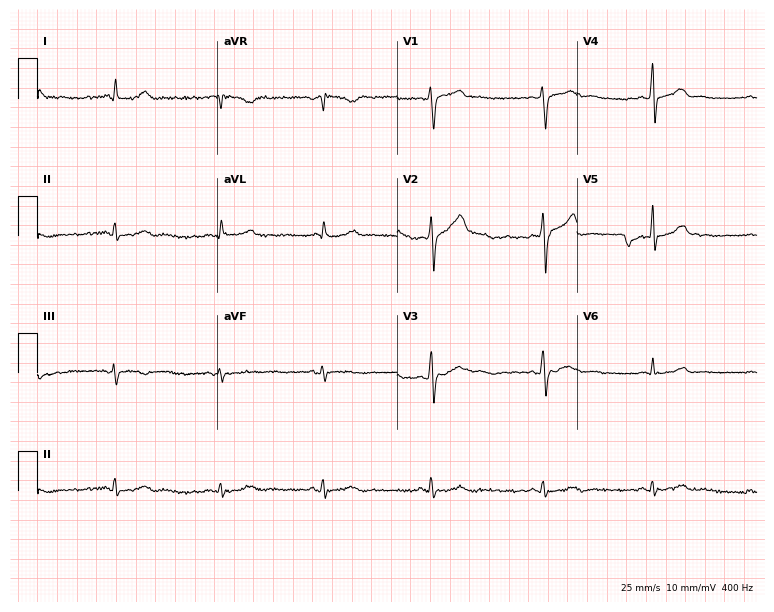
Resting 12-lead electrocardiogram (7.3-second recording at 400 Hz). Patient: a 40-year-old male. None of these six findings is recorded: first-degree AV block, right bundle branch block (RBBB), left bundle branch block (LBBB), sinus bradycardia, atrial fibrillation (AF), sinus tachycardia. Other findings, if any, are not listed.